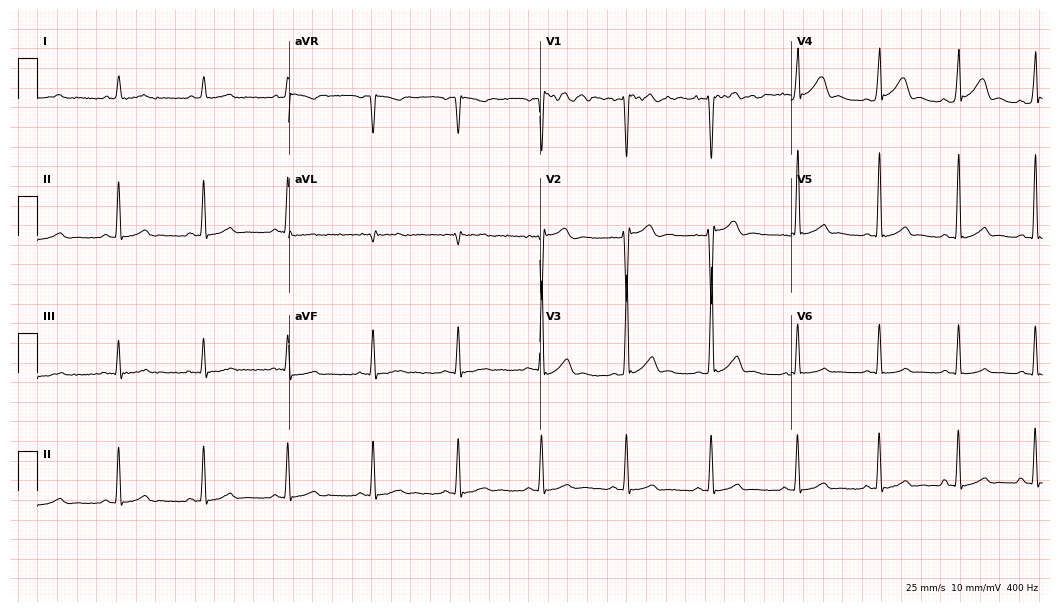
12-lead ECG from a 30-year-old male (10.2-second recording at 400 Hz). Recorded interpretation: within normal limits.